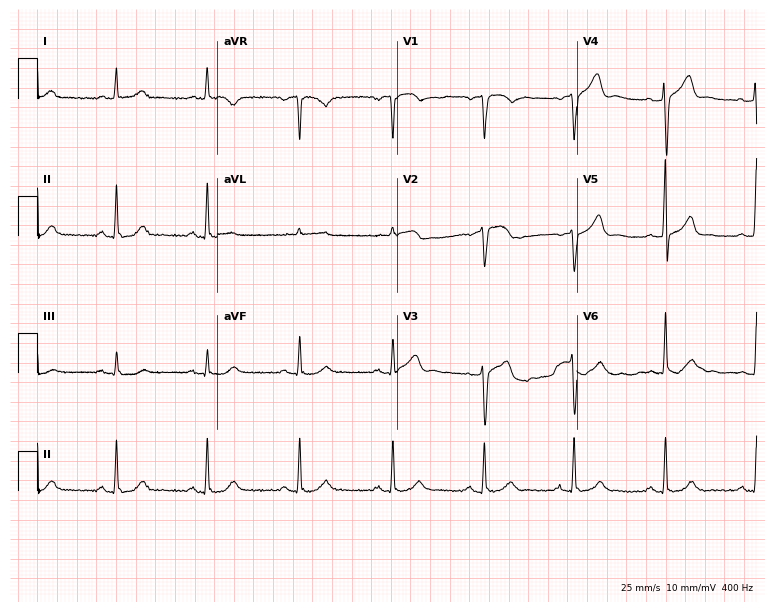
12-lead ECG from a male, 66 years old (7.3-second recording at 400 Hz). Recorded interpretation: within normal limits.